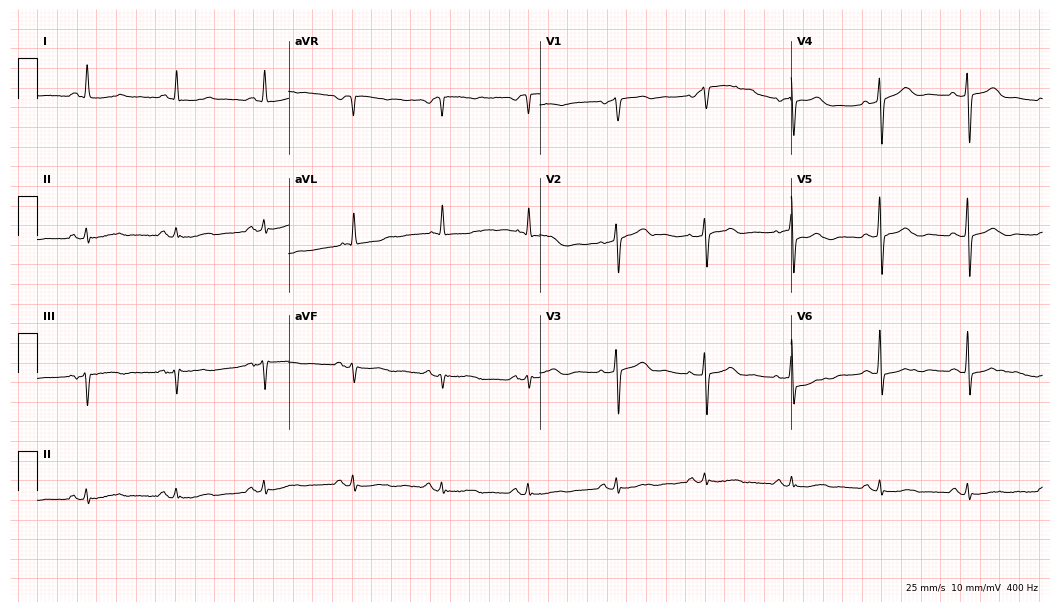
Electrocardiogram (10.2-second recording at 400 Hz), a female, 86 years old. Of the six screened findings (first-degree AV block, right bundle branch block, left bundle branch block, sinus bradycardia, atrial fibrillation, sinus tachycardia), none is recorded. Only these six findings were labelled.